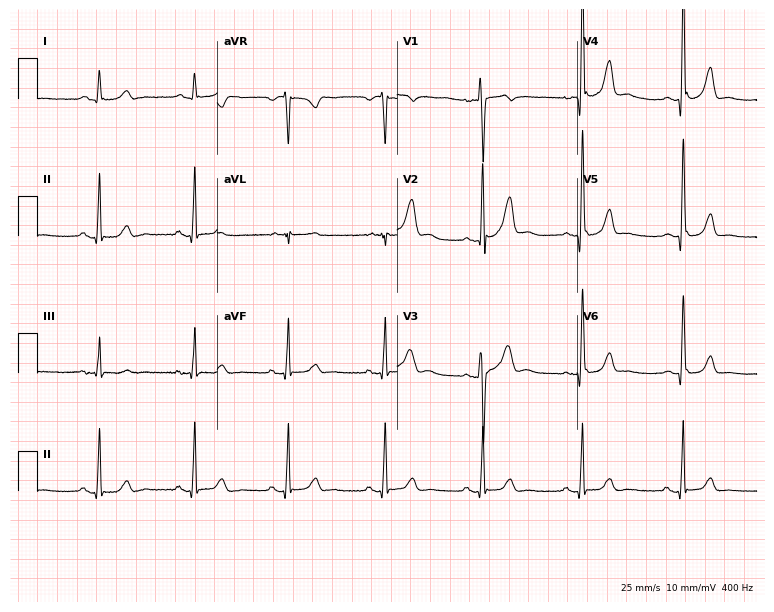
12-lead ECG from a male patient, 42 years old (7.3-second recording at 400 Hz). No first-degree AV block, right bundle branch block, left bundle branch block, sinus bradycardia, atrial fibrillation or sinus tachycardia recorded for this tracing. Other findings, if any, are not listed.